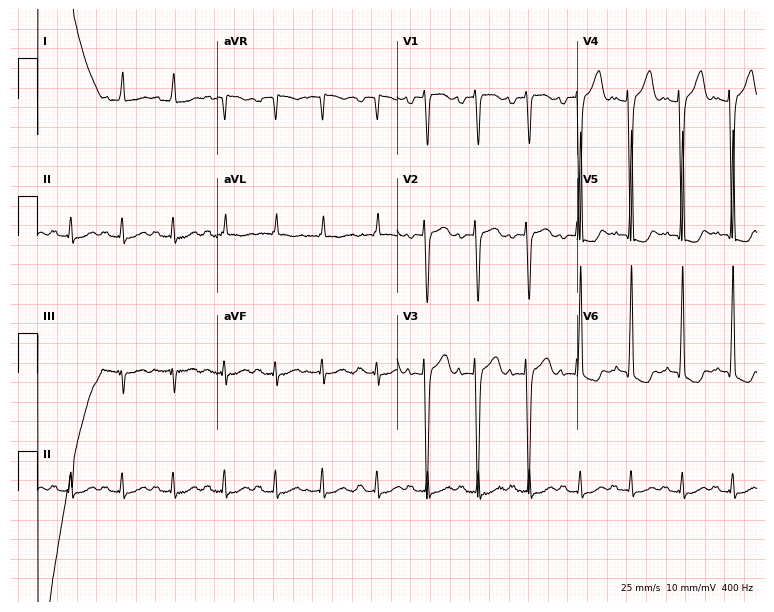
12-lead ECG from an 84-year-old woman (7.3-second recording at 400 Hz). No first-degree AV block, right bundle branch block, left bundle branch block, sinus bradycardia, atrial fibrillation or sinus tachycardia recorded for this tracing.